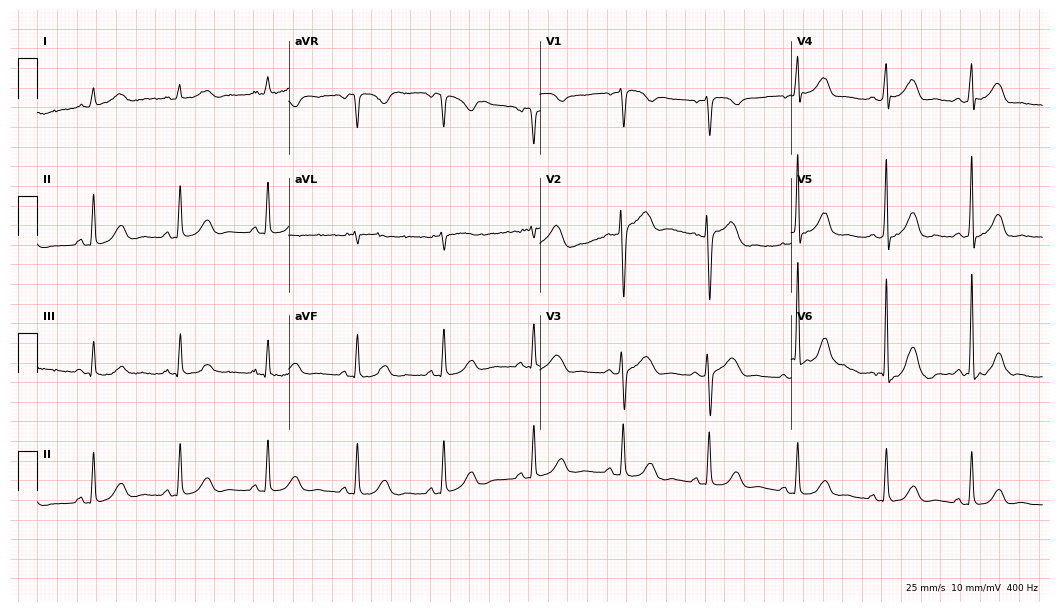
ECG — a 62-year-old female patient. Labelled as a normal ECG.